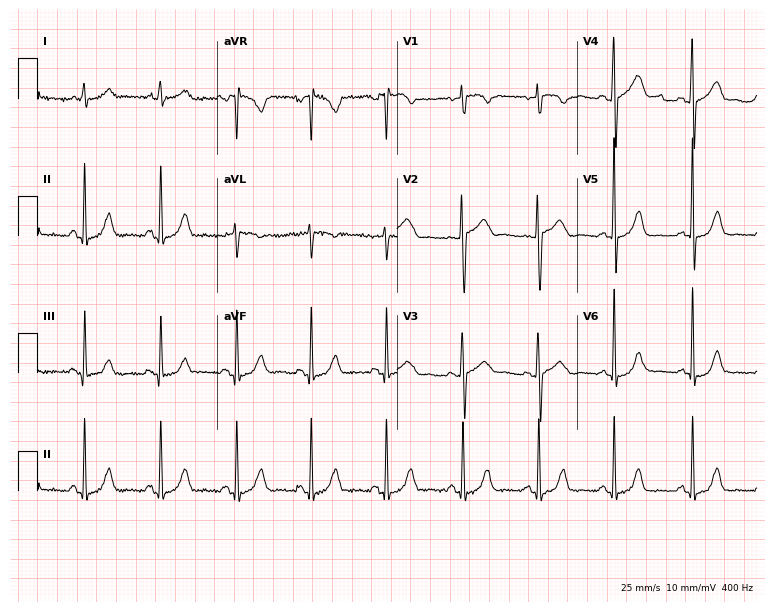
Resting 12-lead electrocardiogram (7.3-second recording at 400 Hz). Patient: a female, 63 years old. Read as a normal ECG.